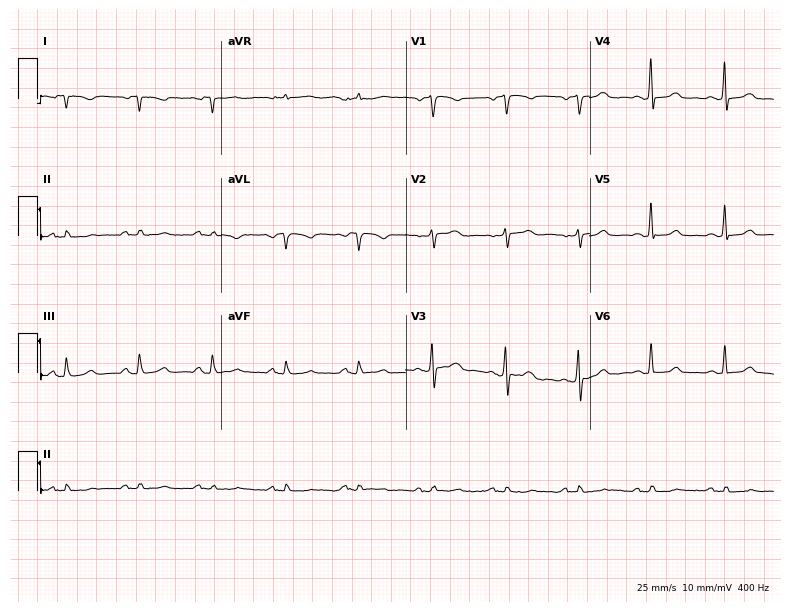
Electrocardiogram (7.5-second recording at 400 Hz), a female patient, 50 years old. Overall reading on record: normal ECG.